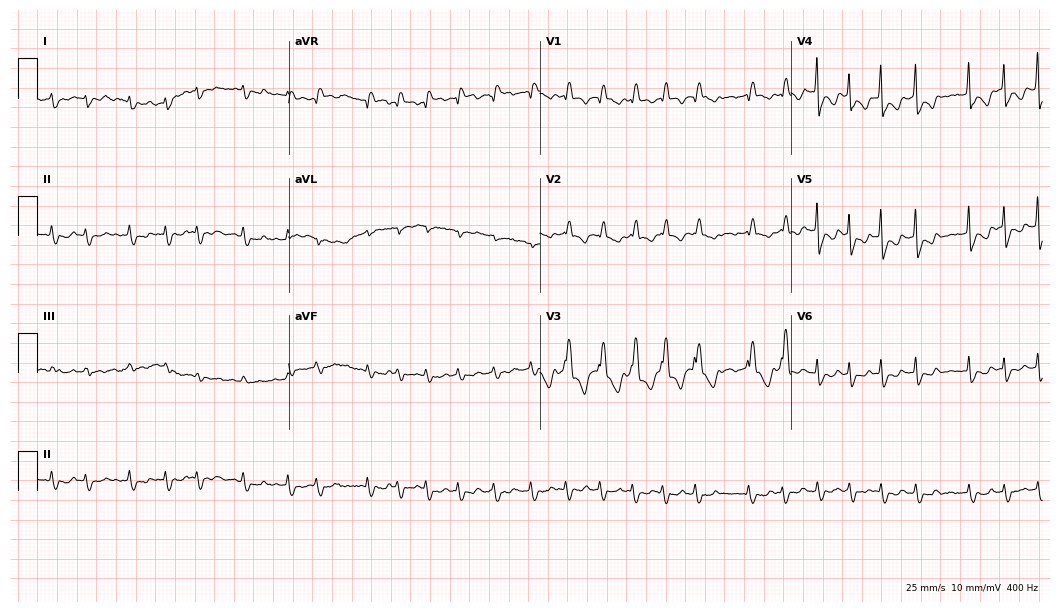
Resting 12-lead electrocardiogram (10.2-second recording at 400 Hz). Patient: a 67-year-old female. The tracing shows right bundle branch block (RBBB), atrial fibrillation (AF).